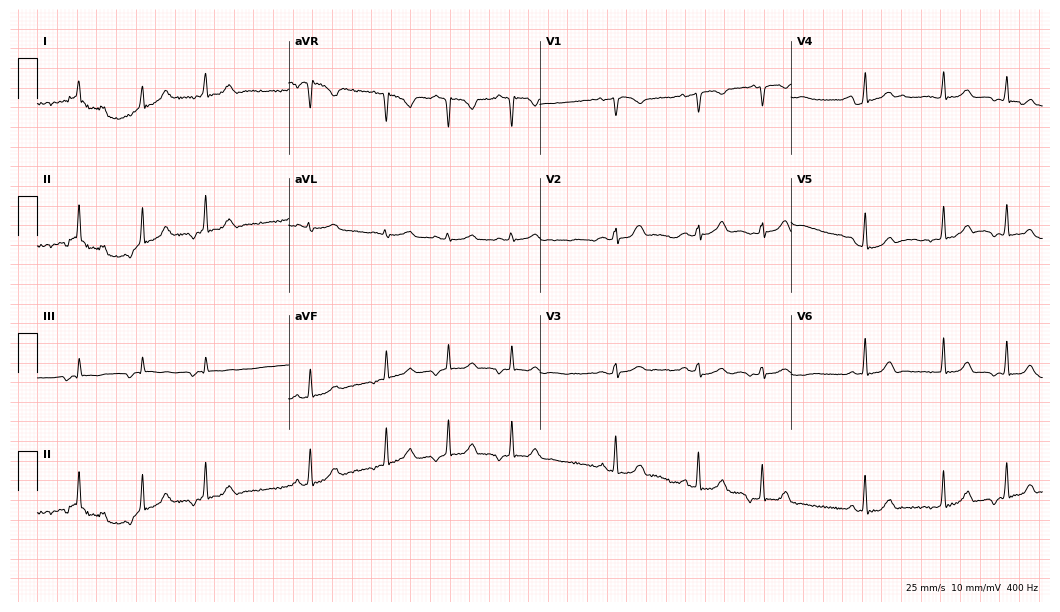
12-lead ECG (10.2-second recording at 400 Hz) from a 21-year-old female patient. Labelled as a normal ECG.